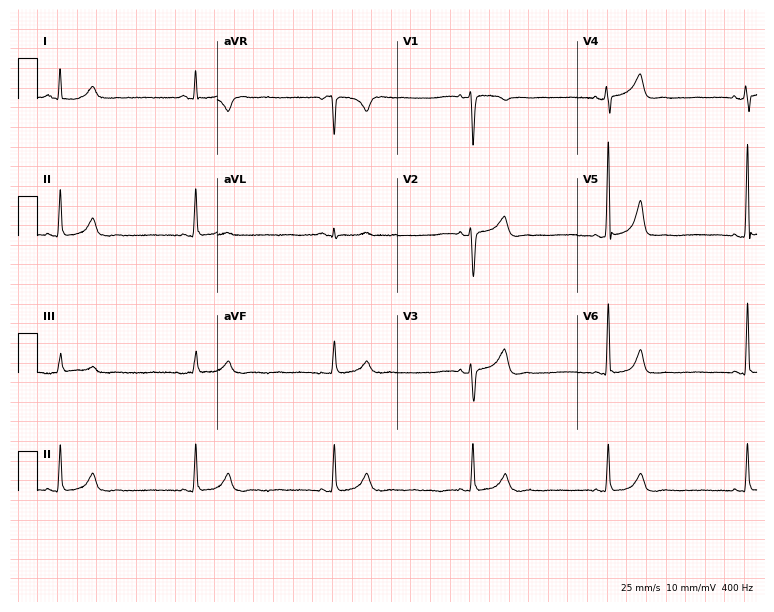
Standard 12-lead ECG recorded from a 50-year-old female patient (7.3-second recording at 400 Hz). The tracing shows sinus bradycardia (a sinus rate of 50 beats per minute or less).